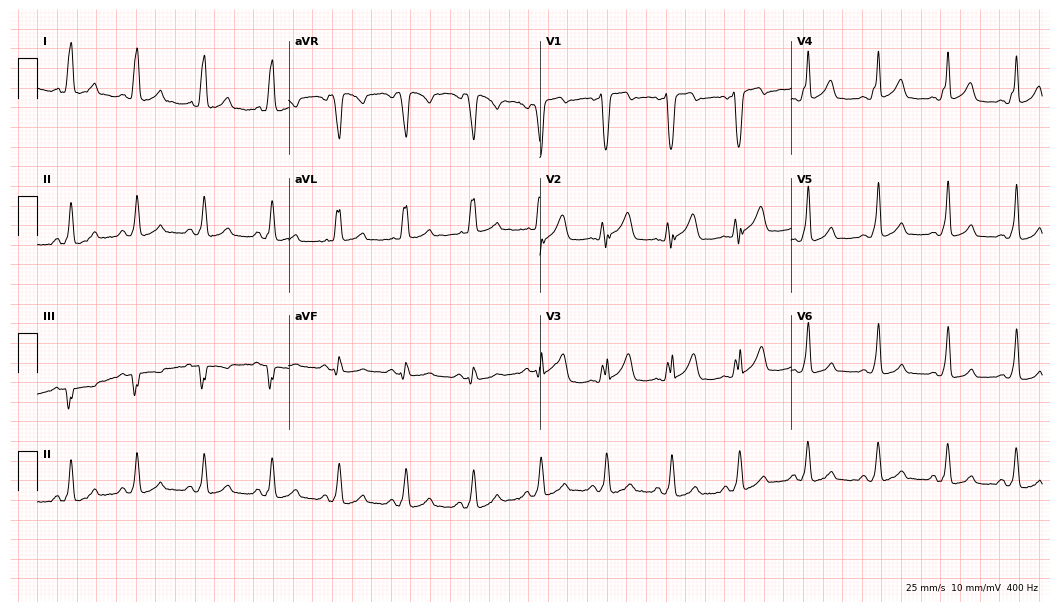
12-lead ECG from a male, 34 years old (10.2-second recording at 400 Hz). No first-degree AV block, right bundle branch block, left bundle branch block, sinus bradycardia, atrial fibrillation or sinus tachycardia recorded for this tracing.